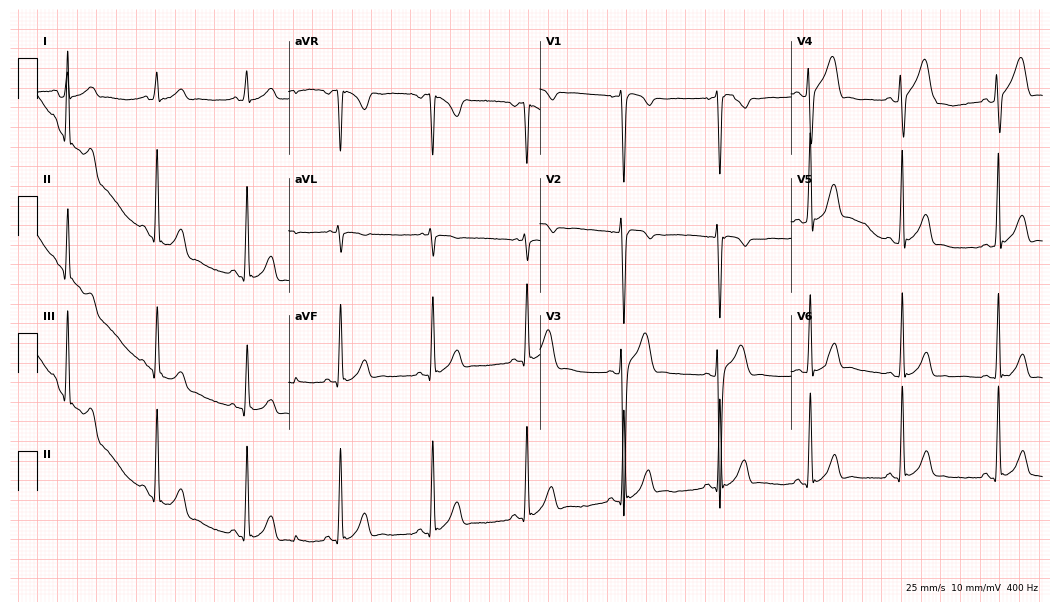
Electrocardiogram, a male patient, 19 years old. Overall reading on record: normal ECG.